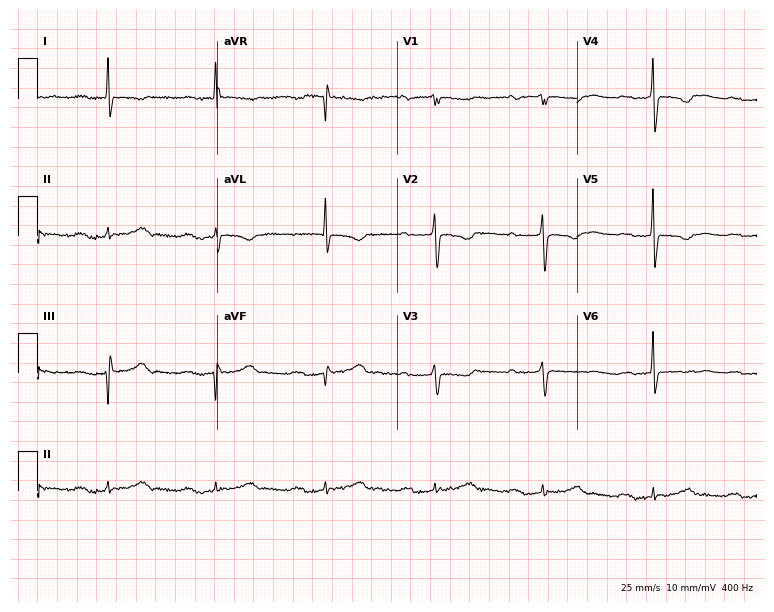
12-lead ECG from a 78-year-old female patient (7.3-second recording at 400 Hz). Shows first-degree AV block.